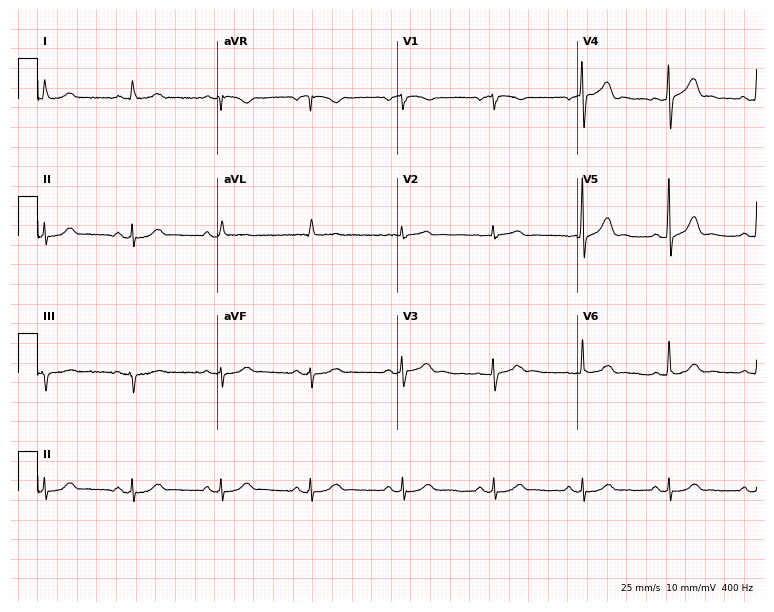
Electrocardiogram (7.3-second recording at 400 Hz), a 64-year-old man. Overall reading on record: normal ECG.